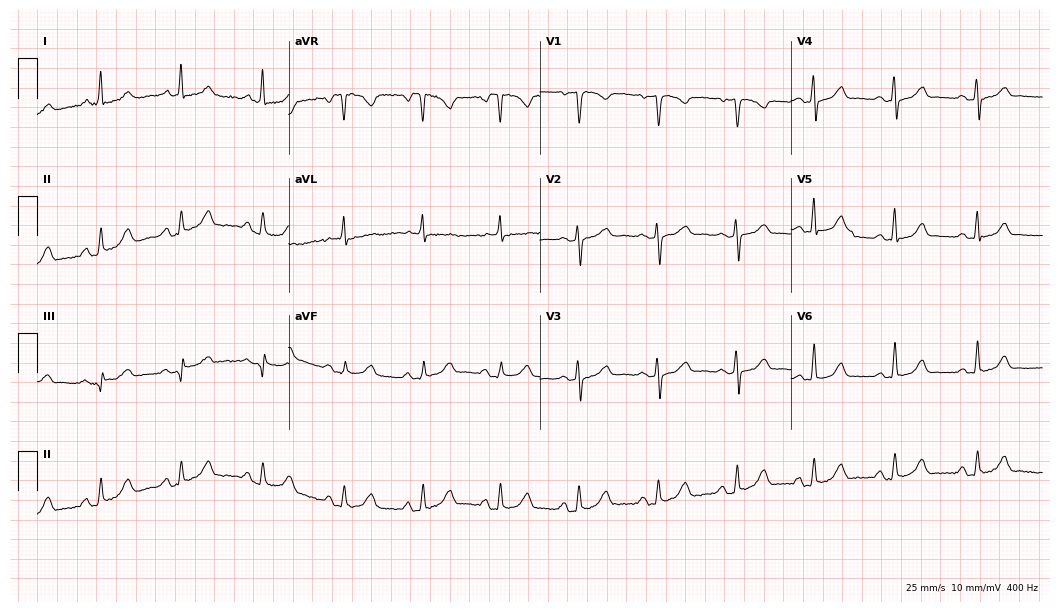
12-lead ECG (10.2-second recording at 400 Hz) from a woman, 46 years old. Labelled as a normal ECG.